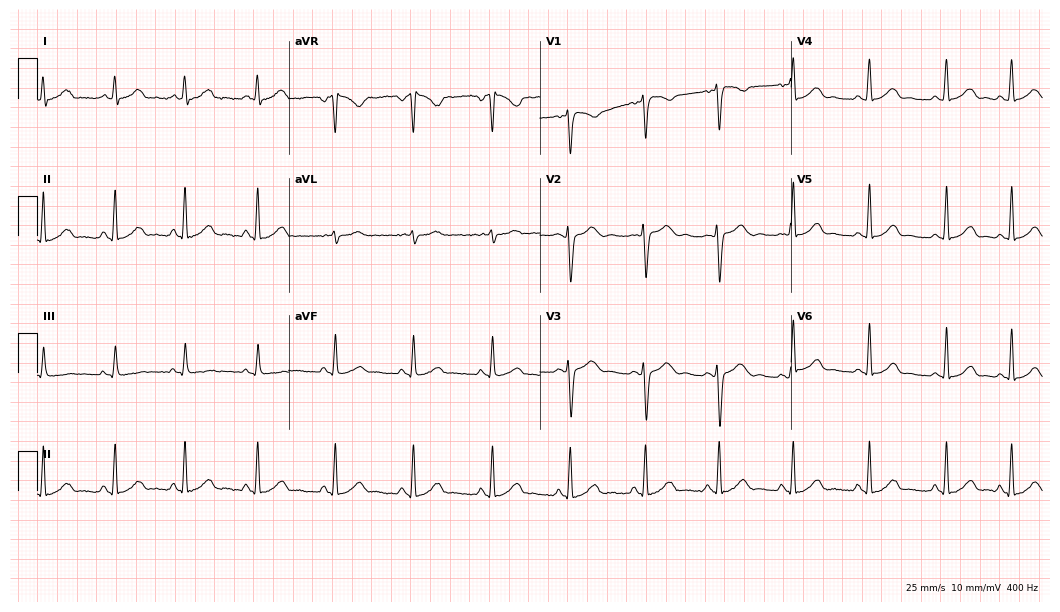
12-lead ECG (10.2-second recording at 400 Hz) from a 26-year-old female patient. Screened for six findings — first-degree AV block, right bundle branch block, left bundle branch block, sinus bradycardia, atrial fibrillation, sinus tachycardia — none is recorded.